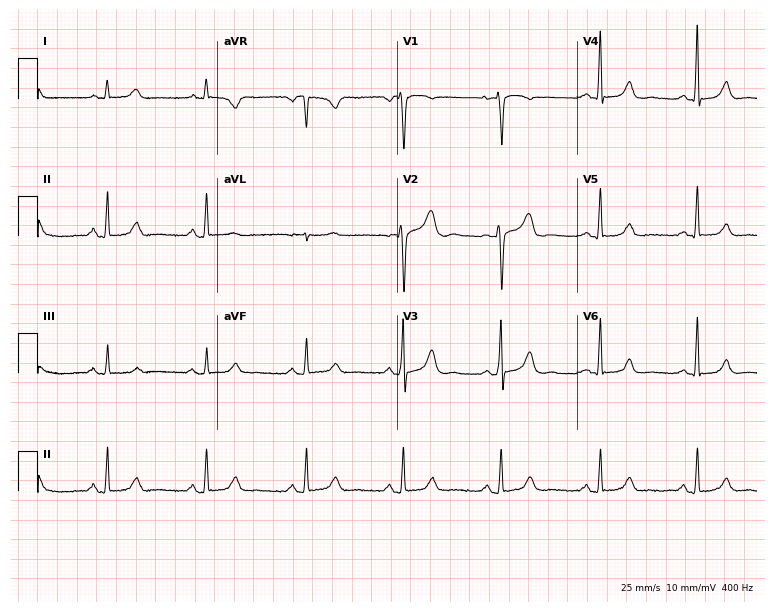
12-lead ECG from a female, 62 years old. Labelled as a normal ECG.